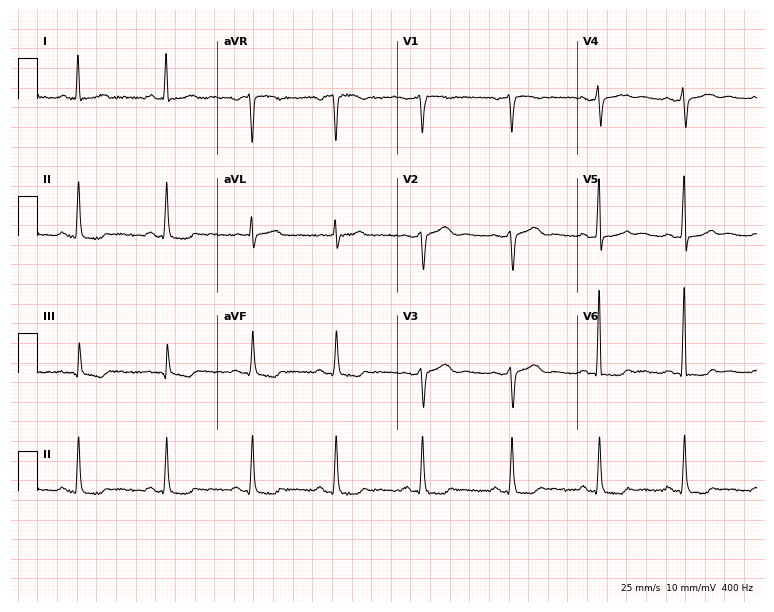
12-lead ECG (7.3-second recording at 400 Hz) from a 57-year-old male patient. Screened for six findings — first-degree AV block, right bundle branch block, left bundle branch block, sinus bradycardia, atrial fibrillation, sinus tachycardia — none is recorded. Findings outside these six are not listed.